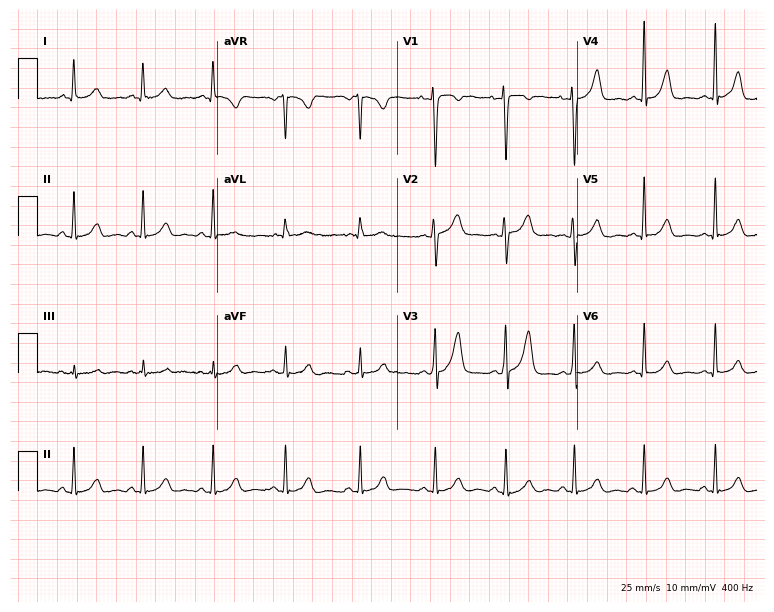
12-lead ECG from a 28-year-old woman (7.3-second recording at 400 Hz). Recorded interpretation: within normal limits.